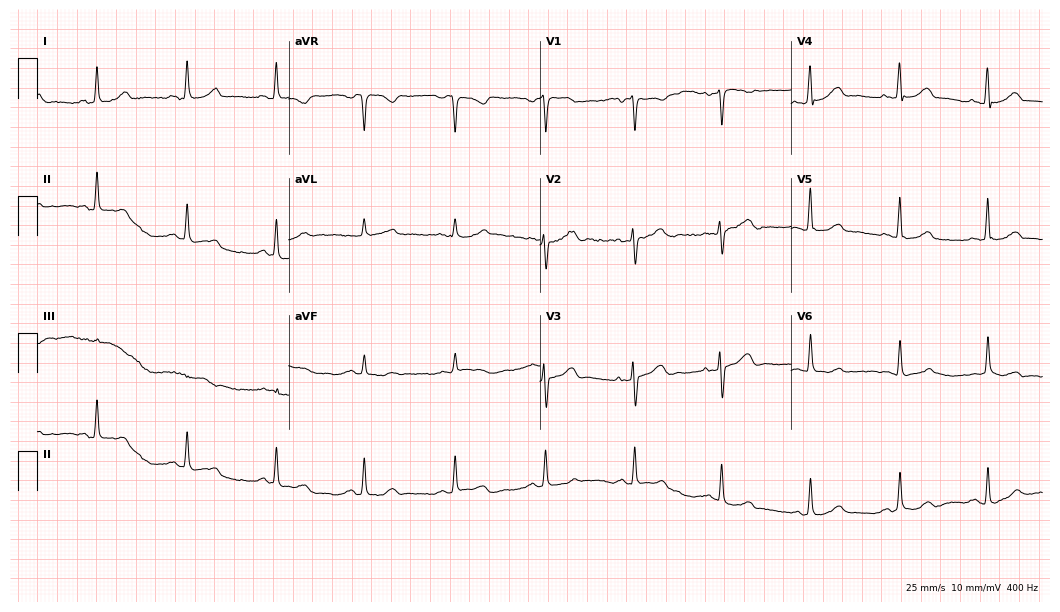
Electrocardiogram, a female patient, 44 years old. Of the six screened findings (first-degree AV block, right bundle branch block, left bundle branch block, sinus bradycardia, atrial fibrillation, sinus tachycardia), none is recorded.